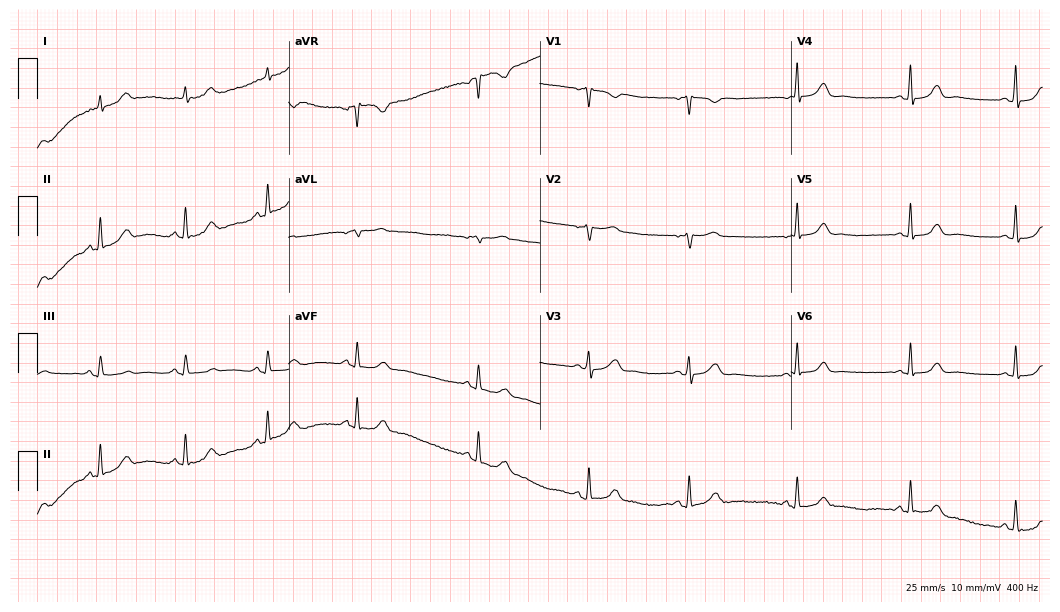
Electrocardiogram (10.2-second recording at 400 Hz), a 47-year-old female patient. Overall reading on record: normal ECG.